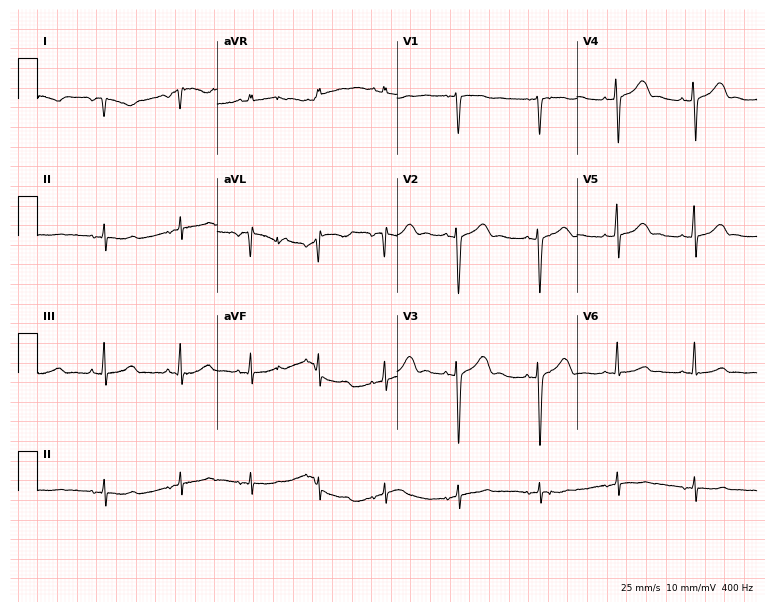
12-lead ECG from a 19-year-old woman. Screened for six findings — first-degree AV block, right bundle branch block (RBBB), left bundle branch block (LBBB), sinus bradycardia, atrial fibrillation (AF), sinus tachycardia — none is recorded.